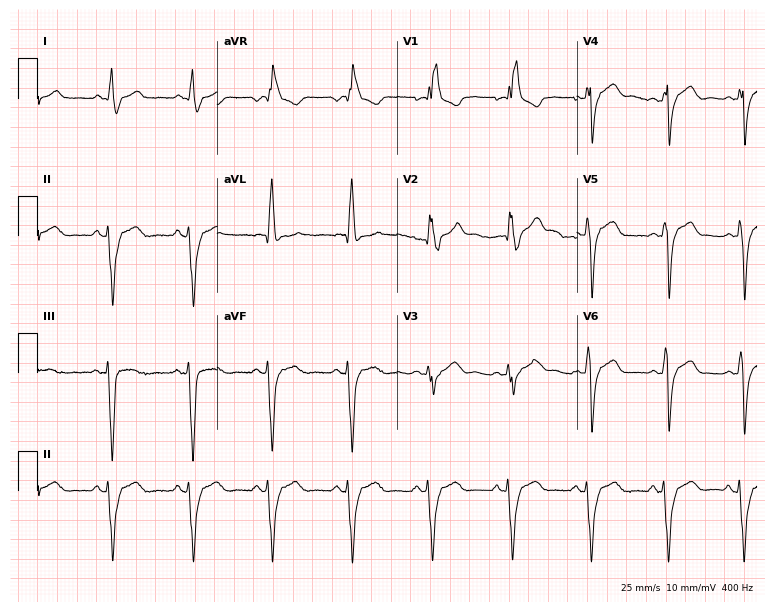
12-lead ECG from a female, 61 years old. Shows right bundle branch block.